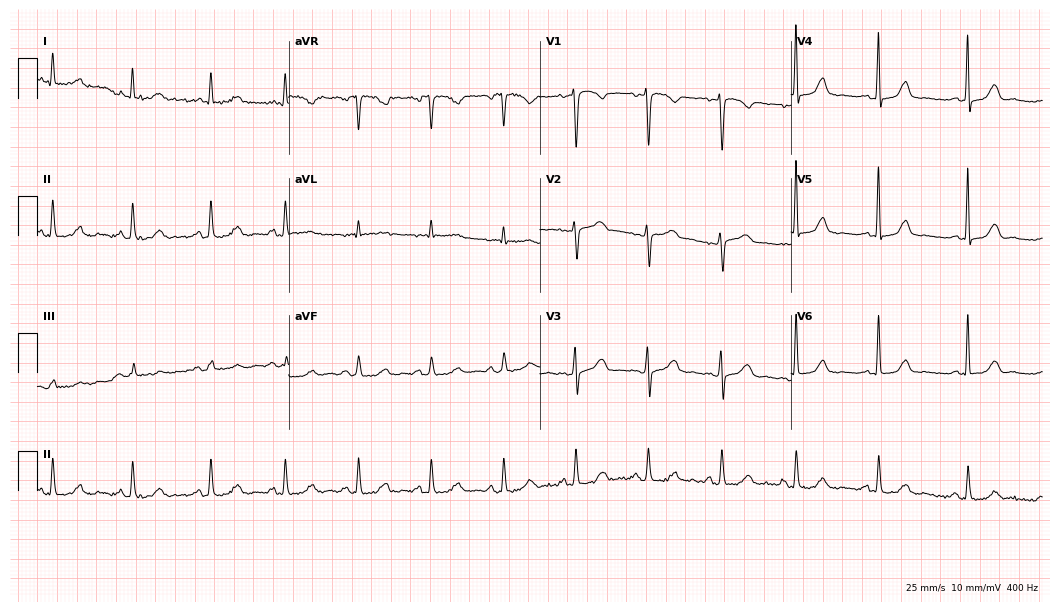
12-lead ECG from a 51-year-old female patient. Labelled as a normal ECG.